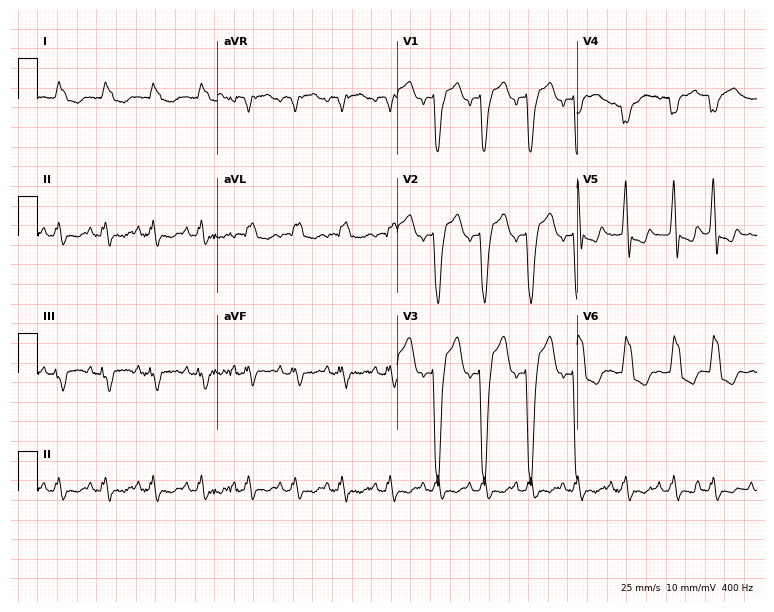
Standard 12-lead ECG recorded from an 80-year-old male patient (7.3-second recording at 400 Hz). The tracing shows left bundle branch block, sinus tachycardia (a sinus rate of 100 beats per minute or more).